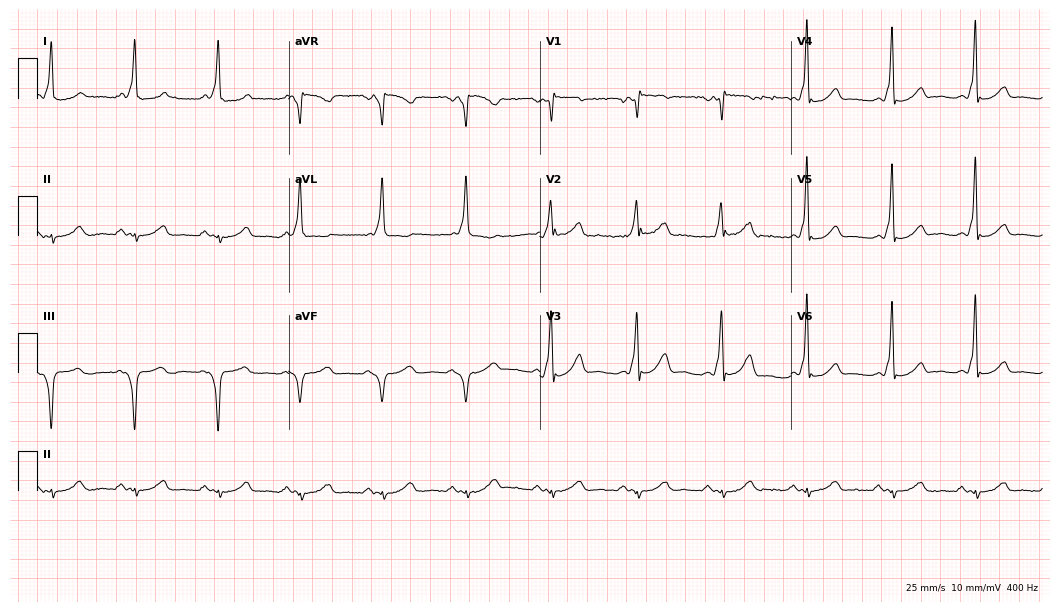
ECG (10.2-second recording at 400 Hz) — a woman, 66 years old. Screened for six findings — first-degree AV block, right bundle branch block (RBBB), left bundle branch block (LBBB), sinus bradycardia, atrial fibrillation (AF), sinus tachycardia — none is recorded. Other findings, if any, are not listed.